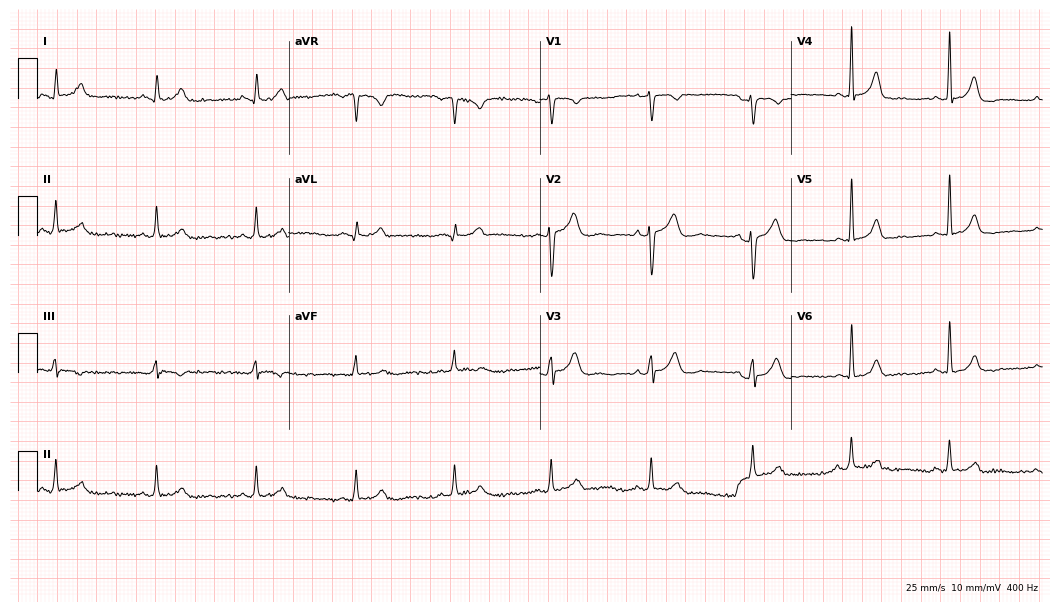
Standard 12-lead ECG recorded from a 40-year-old female patient. None of these six findings is recorded: first-degree AV block, right bundle branch block, left bundle branch block, sinus bradycardia, atrial fibrillation, sinus tachycardia. Only these six findings were labelled.